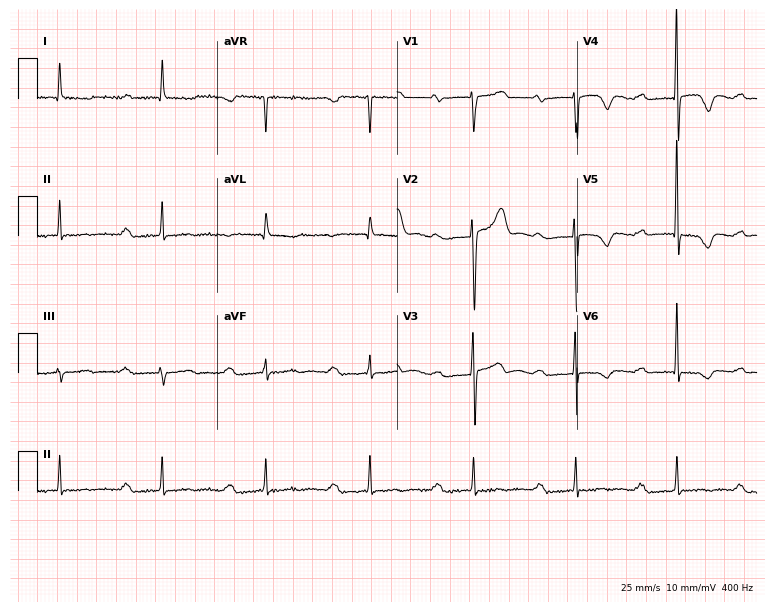
Standard 12-lead ECG recorded from a 79-year-old female (7.3-second recording at 400 Hz). None of these six findings is recorded: first-degree AV block, right bundle branch block, left bundle branch block, sinus bradycardia, atrial fibrillation, sinus tachycardia.